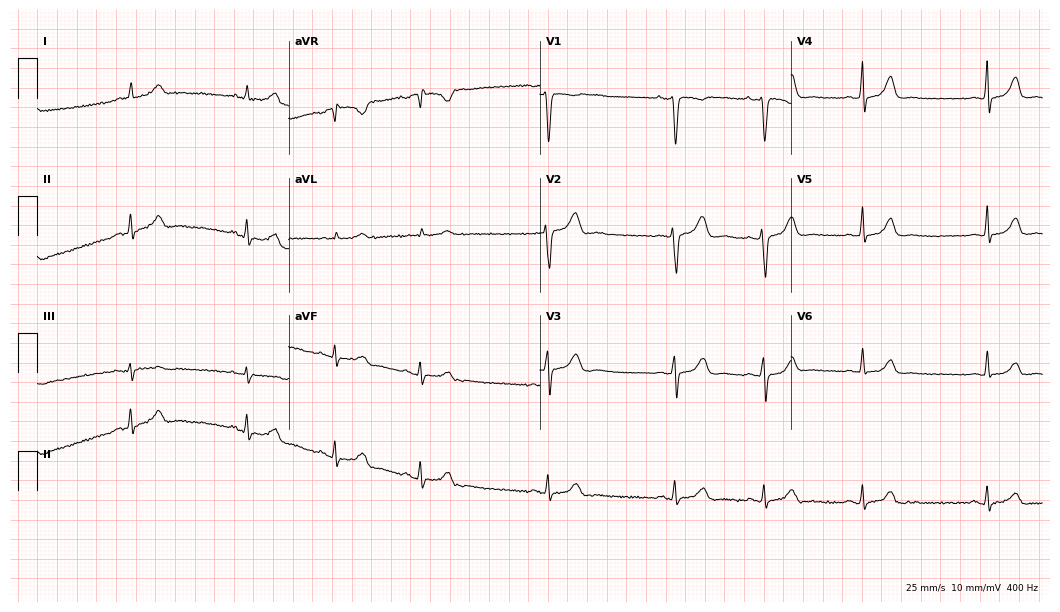
ECG (10.2-second recording at 400 Hz) — a woman, 27 years old. Labelled as a normal ECG.